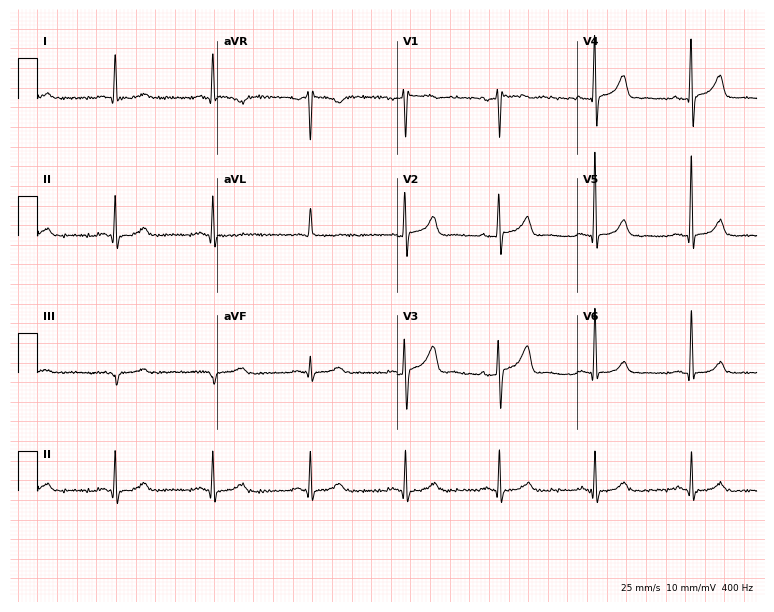
12-lead ECG (7.3-second recording at 400 Hz) from a male patient, 54 years old. Labelled as a normal ECG.